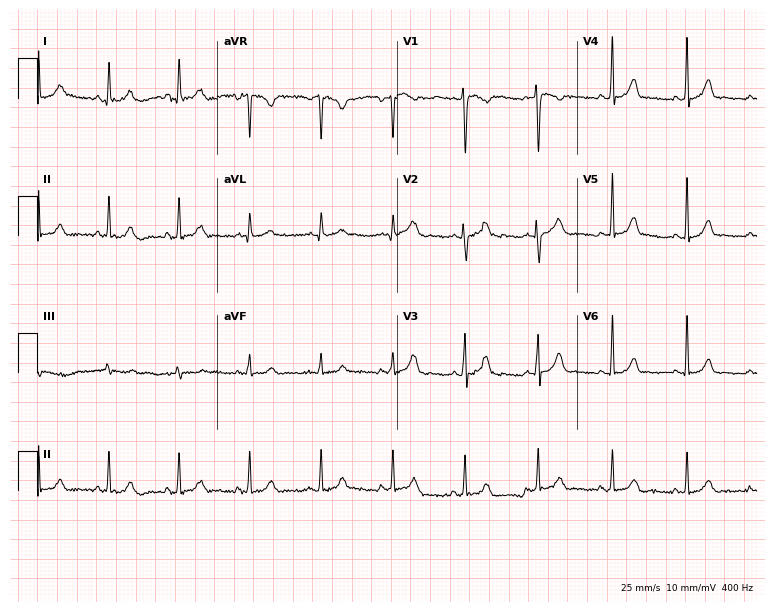
Electrocardiogram, a 20-year-old female patient. Of the six screened findings (first-degree AV block, right bundle branch block, left bundle branch block, sinus bradycardia, atrial fibrillation, sinus tachycardia), none is recorded.